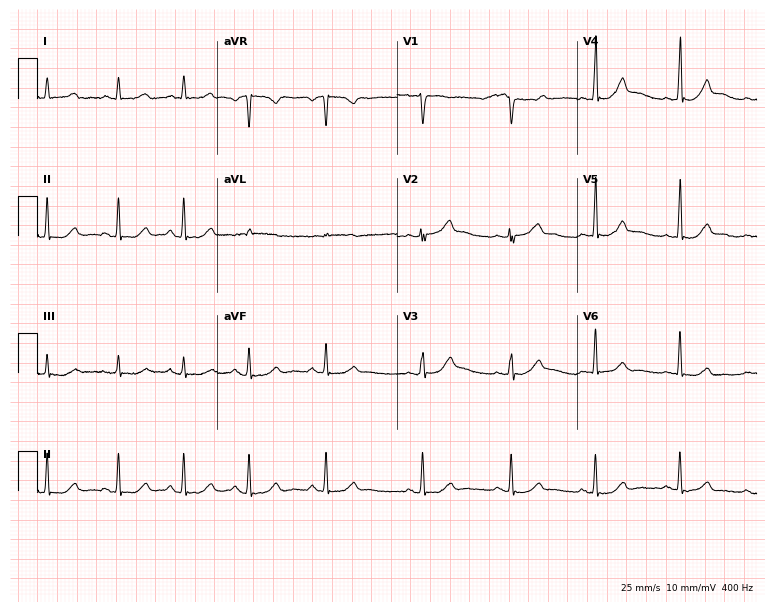
12-lead ECG from a woman, 40 years old (7.3-second recording at 400 Hz). Recorded interpretation: within normal limits.